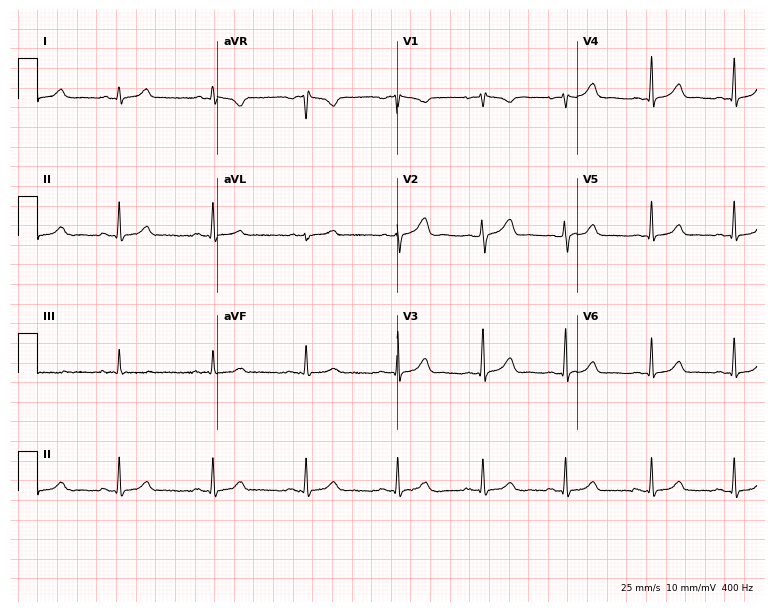
12-lead ECG from a 25-year-old woman. Labelled as a normal ECG.